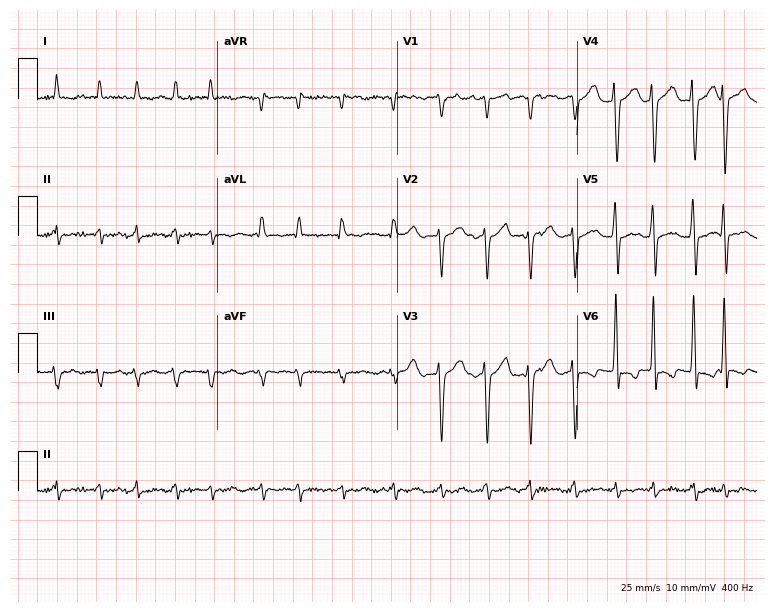
ECG — a 76-year-old male. Findings include atrial fibrillation (AF).